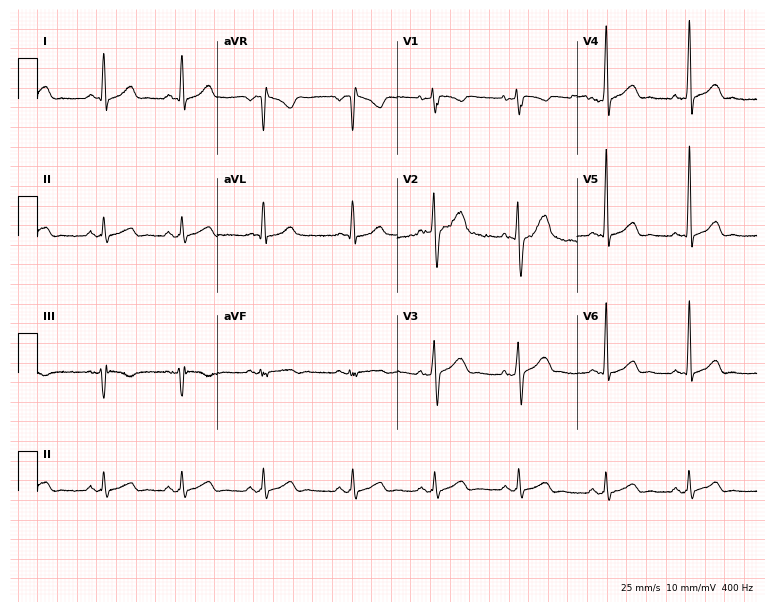
Resting 12-lead electrocardiogram (7.3-second recording at 400 Hz). Patient: a 36-year-old male. Read as a normal ECG.